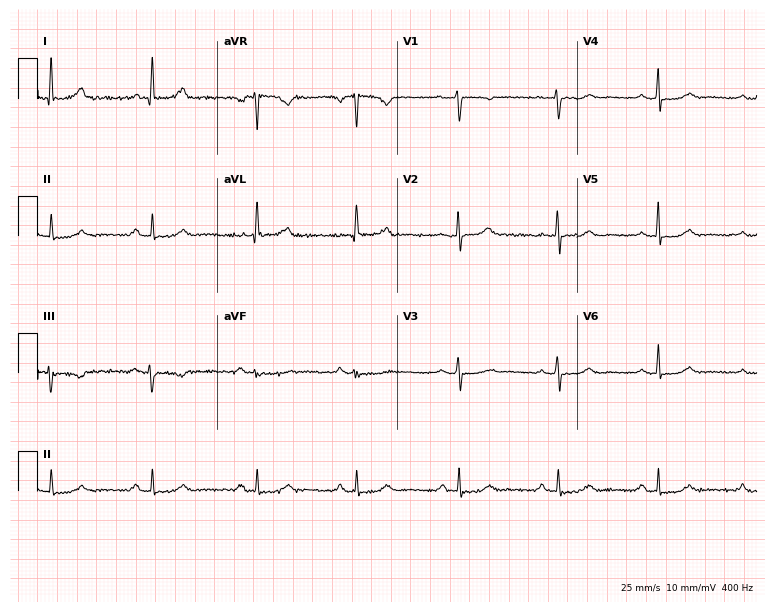
ECG (7.3-second recording at 400 Hz) — a female, 63 years old. Labelled as a normal ECG.